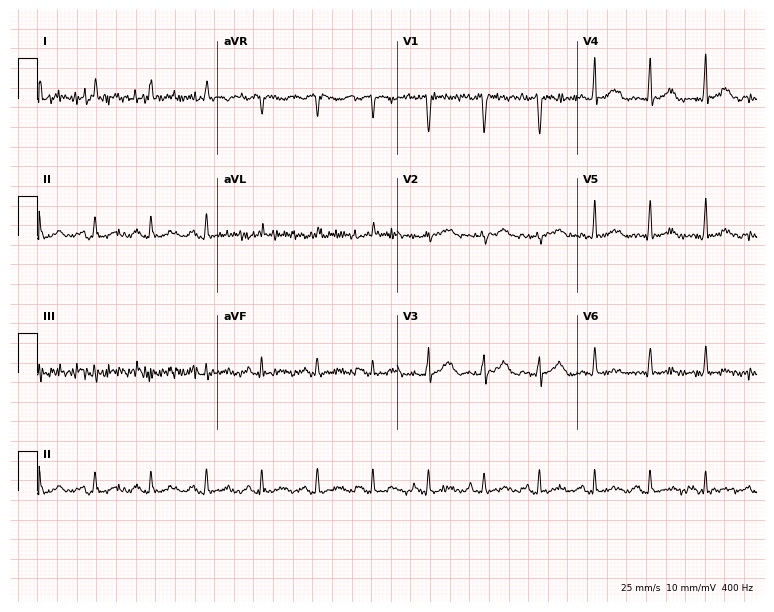
12-lead ECG (7.3-second recording at 400 Hz) from a 63-year-old man. Findings include sinus tachycardia (a sinus rate of 100 beats per minute or more).